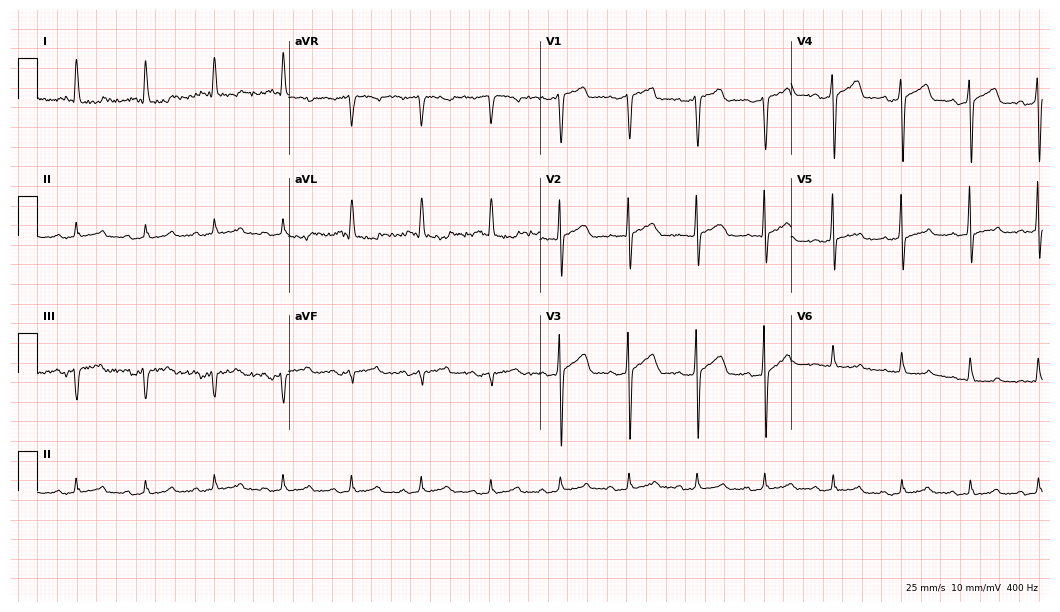
Resting 12-lead electrocardiogram. Patient: a man, 69 years old. Read as a normal ECG.